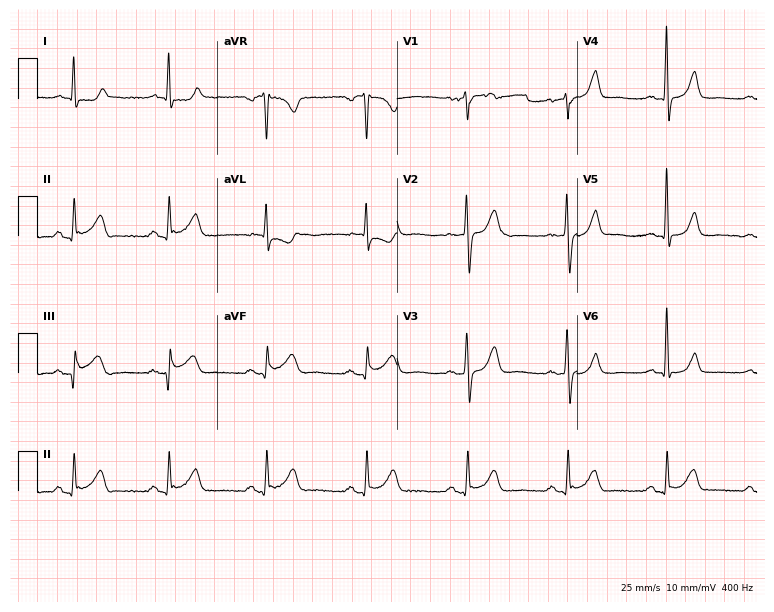
12-lead ECG (7.3-second recording at 400 Hz) from a male, 63 years old. Screened for six findings — first-degree AV block, right bundle branch block, left bundle branch block, sinus bradycardia, atrial fibrillation, sinus tachycardia — none is recorded.